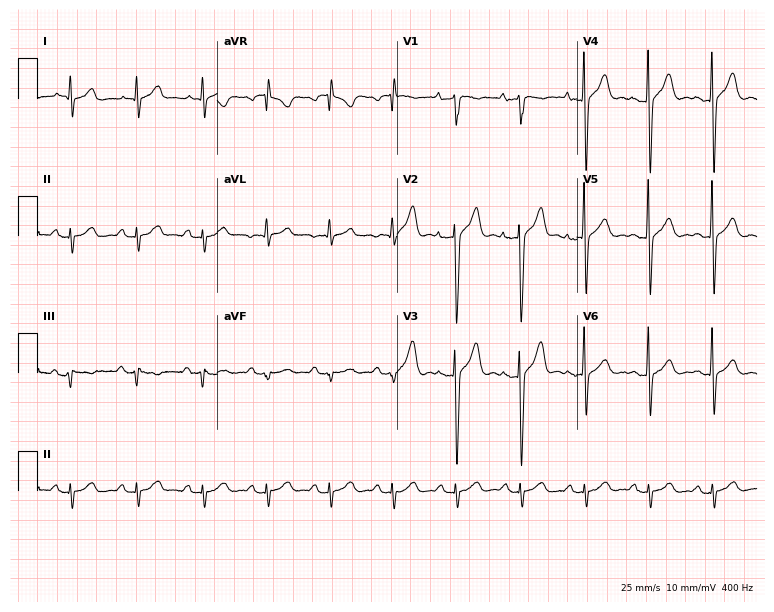
Standard 12-lead ECG recorded from a 45-year-old male patient (7.3-second recording at 400 Hz). None of these six findings is recorded: first-degree AV block, right bundle branch block, left bundle branch block, sinus bradycardia, atrial fibrillation, sinus tachycardia. Only these six findings were labelled.